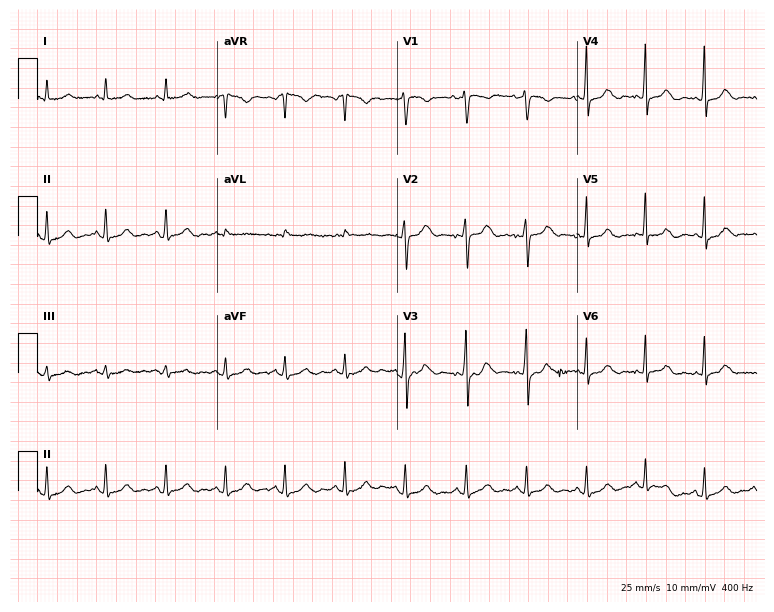
12-lead ECG from a 38-year-old female patient (7.3-second recording at 400 Hz). Recorded interpretation: within normal limits.